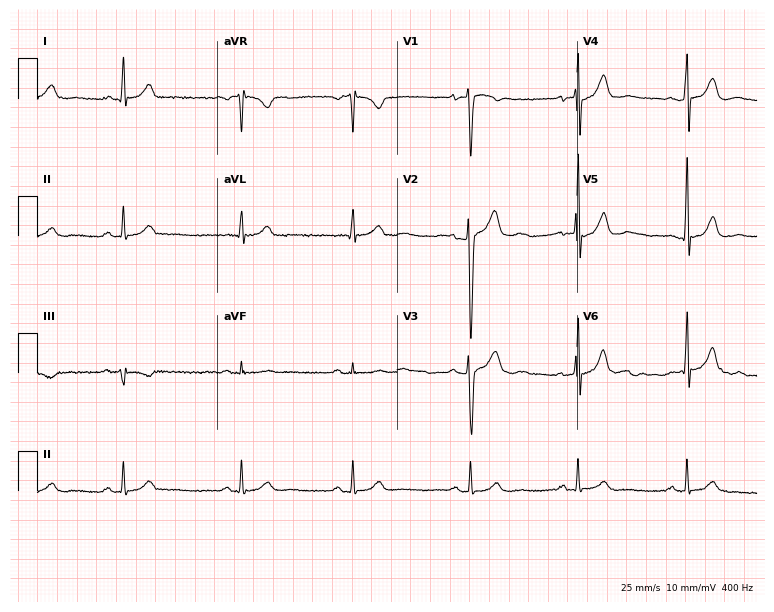
ECG (7.3-second recording at 400 Hz) — a man, 37 years old. Labelled as a normal ECG.